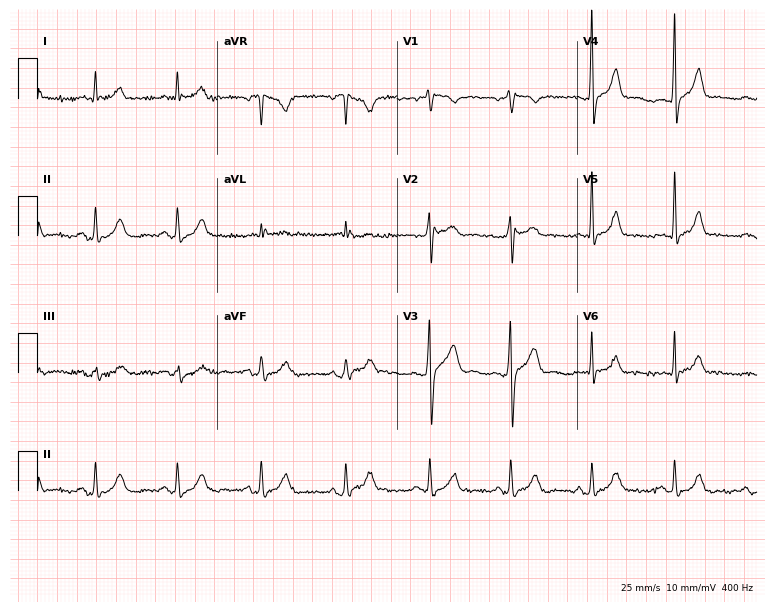
Electrocardiogram, a 33-year-old male patient. Of the six screened findings (first-degree AV block, right bundle branch block, left bundle branch block, sinus bradycardia, atrial fibrillation, sinus tachycardia), none is recorded.